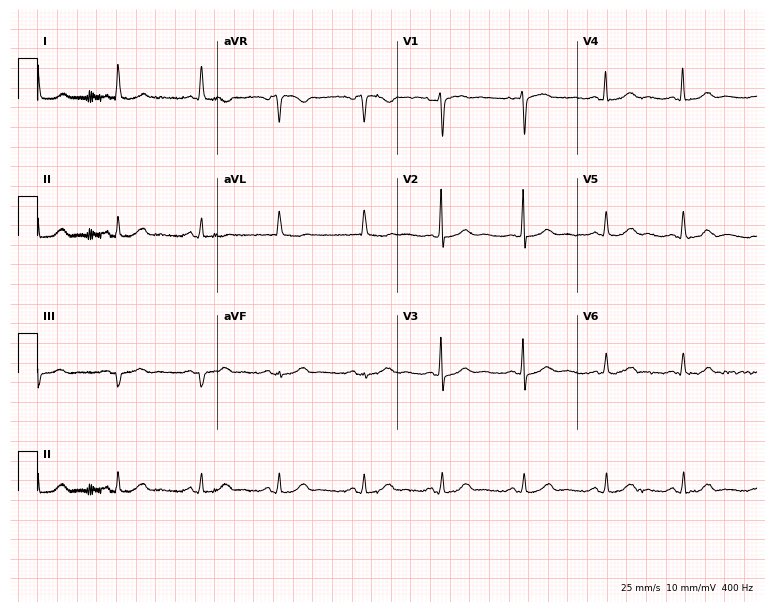
12-lead ECG from a 74-year-old female patient. Labelled as a normal ECG.